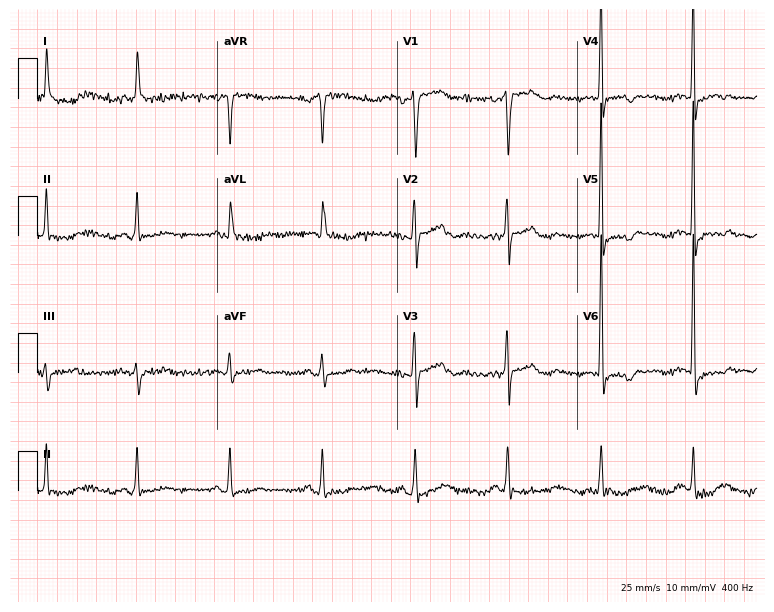
Resting 12-lead electrocardiogram (7.3-second recording at 400 Hz). Patient: an 84-year-old male. None of these six findings is recorded: first-degree AV block, right bundle branch block, left bundle branch block, sinus bradycardia, atrial fibrillation, sinus tachycardia. Other findings, if any, are not listed.